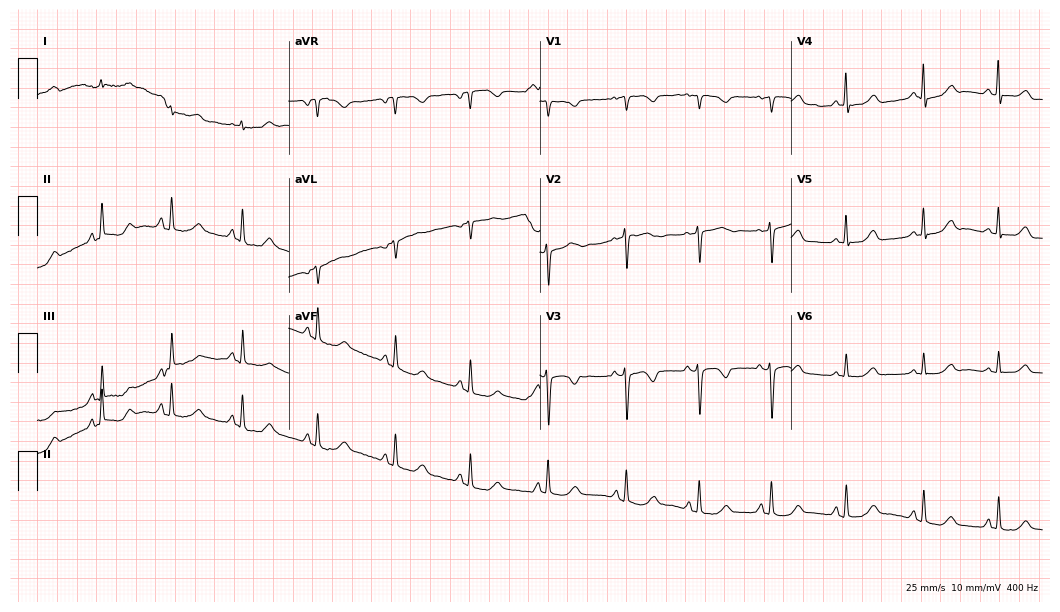
ECG (10.2-second recording at 400 Hz) — a 33-year-old female. Labelled as a normal ECG.